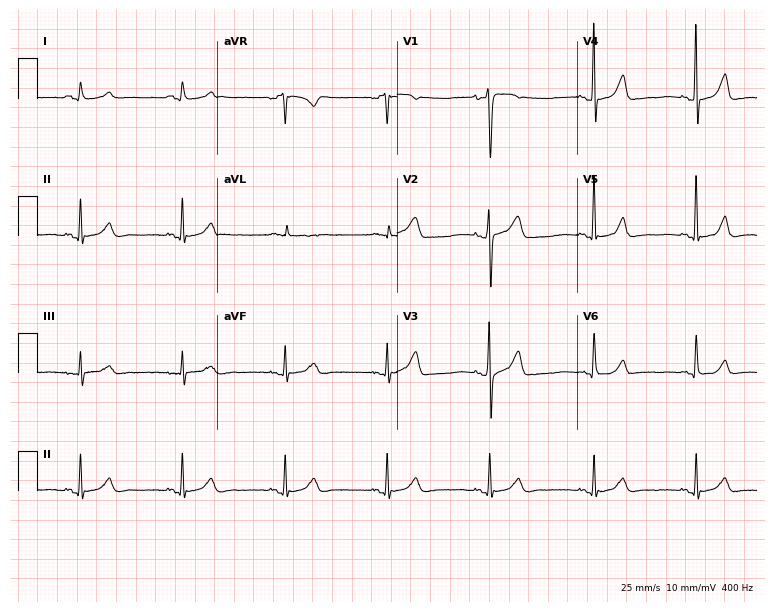
Resting 12-lead electrocardiogram (7.3-second recording at 400 Hz). Patient: a female, 52 years old. Read as a normal ECG.